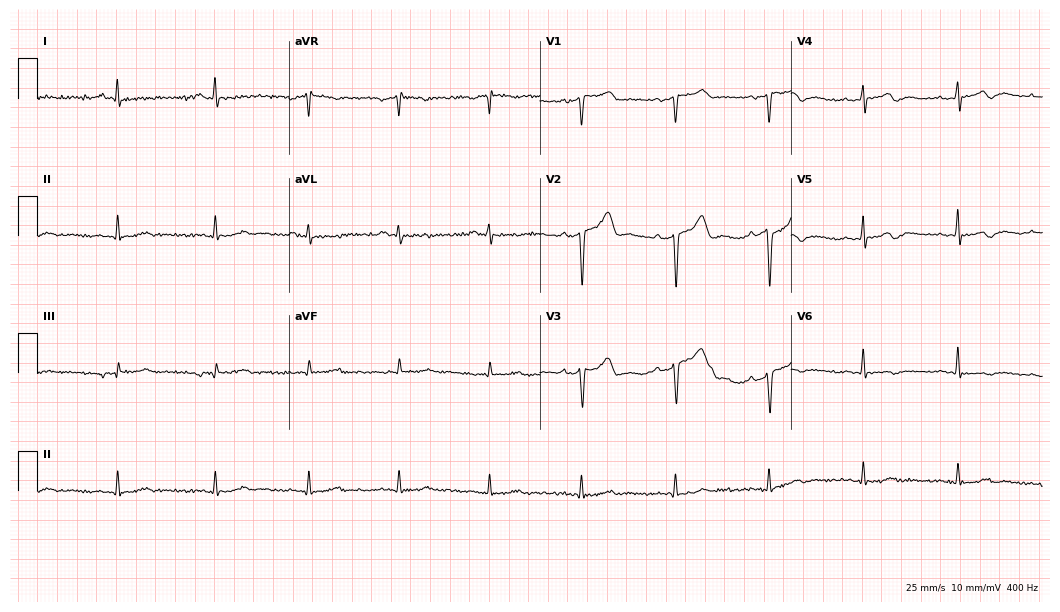
Electrocardiogram, a 67-year-old male. Of the six screened findings (first-degree AV block, right bundle branch block (RBBB), left bundle branch block (LBBB), sinus bradycardia, atrial fibrillation (AF), sinus tachycardia), none is recorded. Other findings, if any, are not listed.